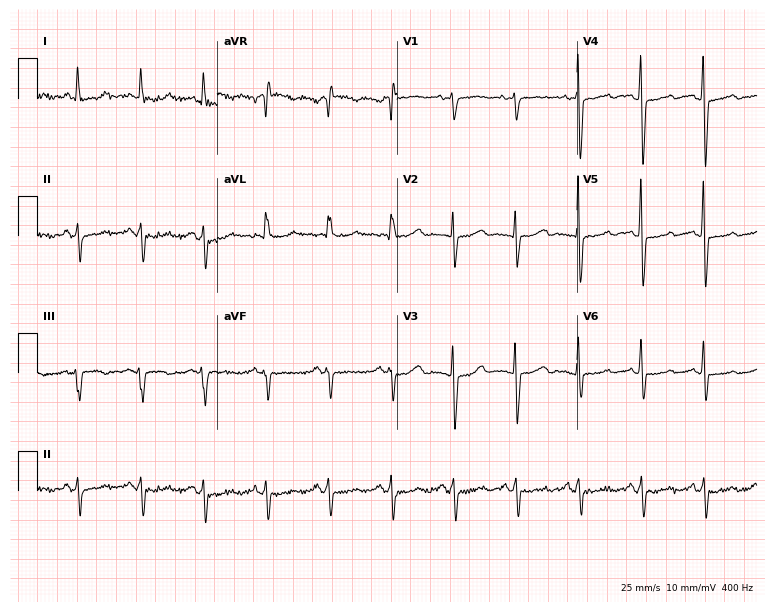
Standard 12-lead ECG recorded from a 68-year-old female patient (7.3-second recording at 400 Hz). None of these six findings is recorded: first-degree AV block, right bundle branch block, left bundle branch block, sinus bradycardia, atrial fibrillation, sinus tachycardia.